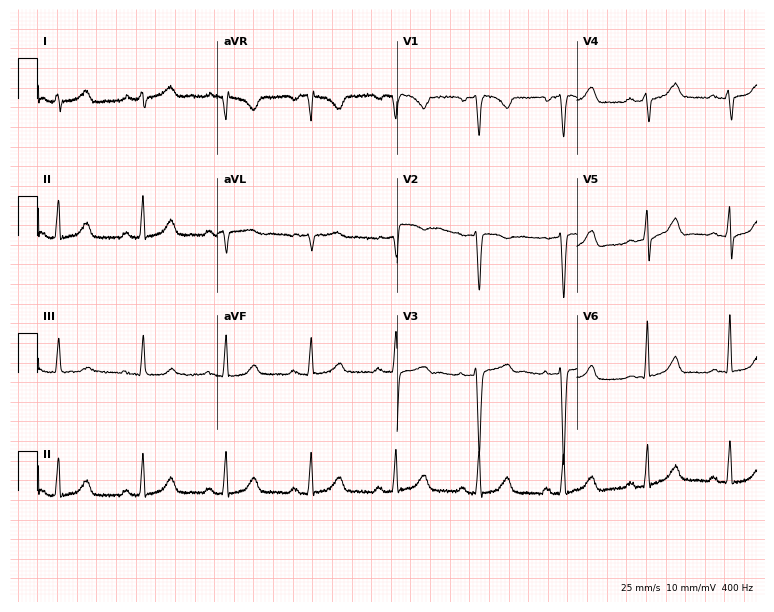
Electrocardiogram, a 45-year-old woman. Of the six screened findings (first-degree AV block, right bundle branch block, left bundle branch block, sinus bradycardia, atrial fibrillation, sinus tachycardia), none is recorded.